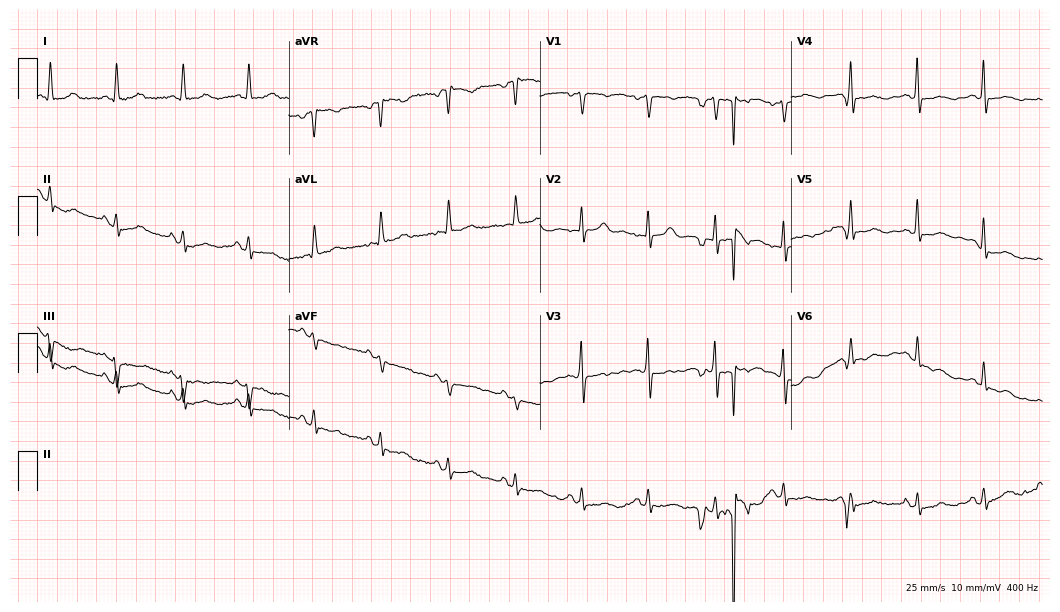
Resting 12-lead electrocardiogram. Patient: a woman, 79 years old. None of these six findings is recorded: first-degree AV block, right bundle branch block, left bundle branch block, sinus bradycardia, atrial fibrillation, sinus tachycardia. Findings outside these six are not listed.